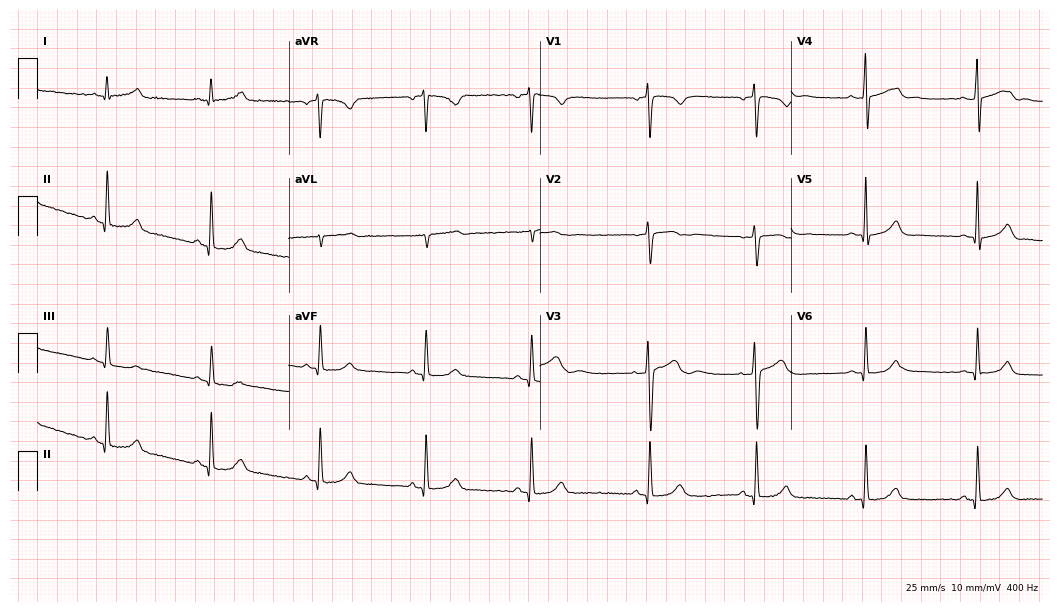
Resting 12-lead electrocardiogram (10.2-second recording at 400 Hz). Patient: a female, 40 years old. None of these six findings is recorded: first-degree AV block, right bundle branch block (RBBB), left bundle branch block (LBBB), sinus bradycardia, atrial fibrillation (AF), sinus tachycardia. Findings outside these six are not listed.